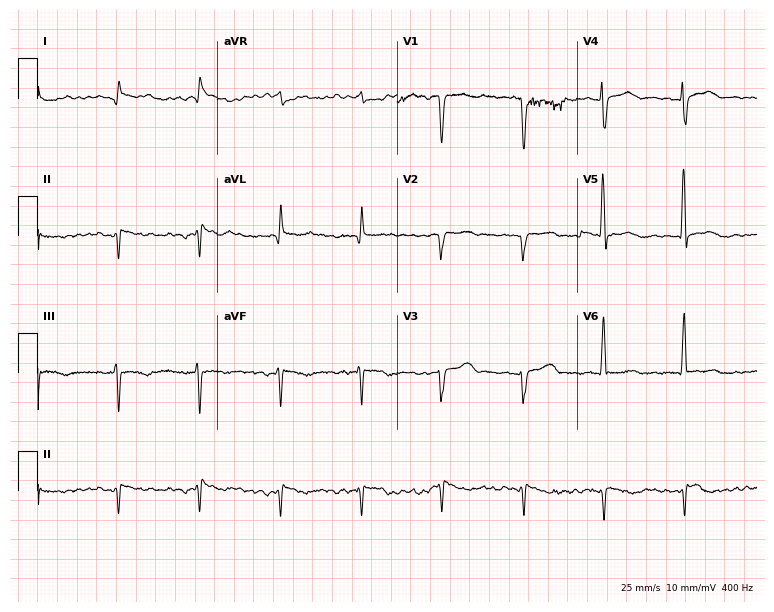
Standard 12-lead ECG recorded from an 83-year-old female (7.3-second recording at 400 Hz). None of these six findings is recorded: first-degree AV block, right bundle branch block (RBBB), left bundle branch block (LBBB), sinus bradycardia, atrial fibrillation (AF), sinus tachycardia. Findings outside these six are not listed.